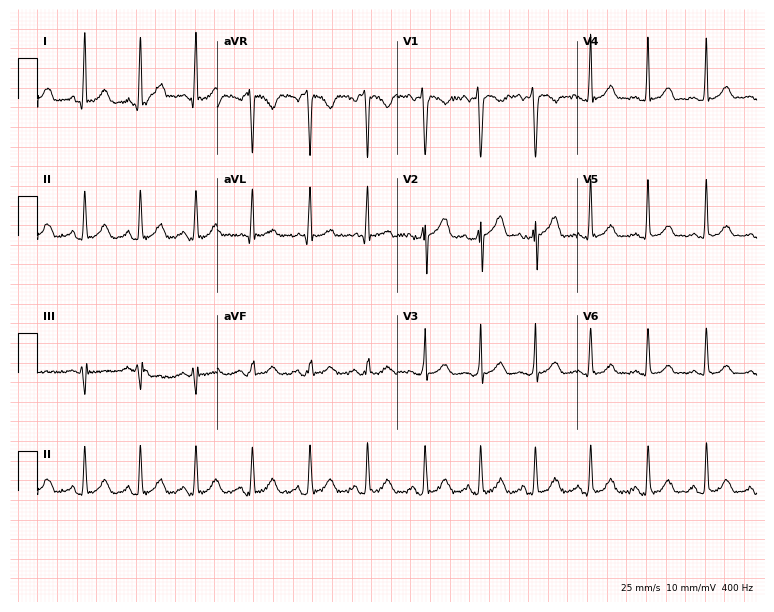
ECG — a 38-year-old woman. Findings include sinus tachycardia (a sinus rate of 100 beats per minute or more).